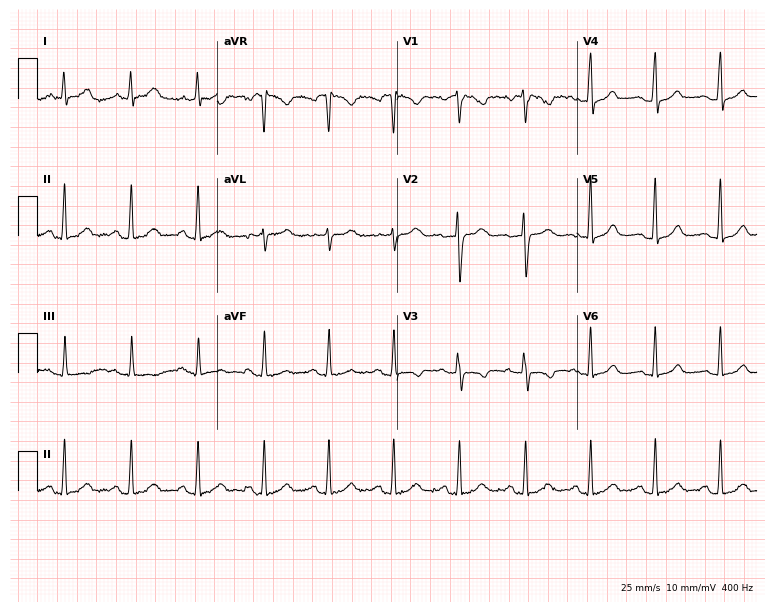
Resting 12-lead electrocardiogram. Patient: a female, 33 years old. Read as a normal ECG.